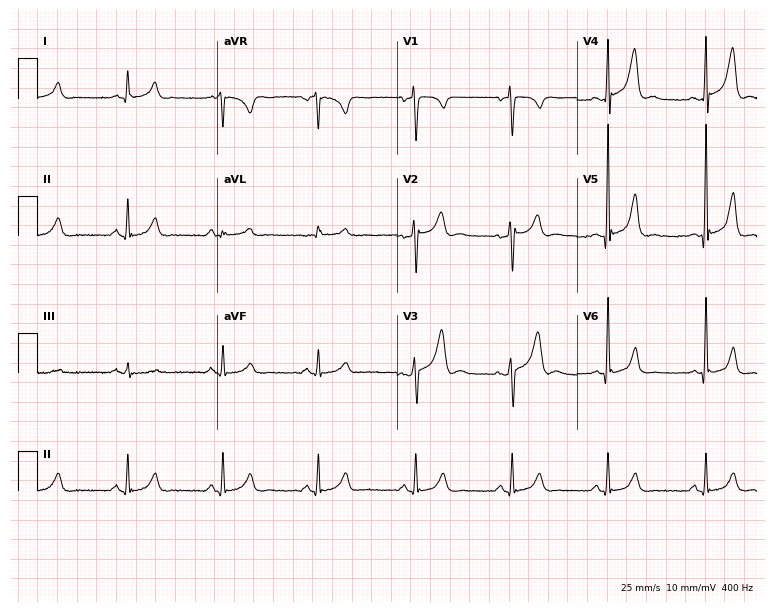
12-lead ECG (7.3-second recording at 400 Hz) from a male, 38 years old. Screened for six findings — first-degree AV block, right bundle branch block, left bundle branch block, sinus bradycardia, atrial fibrillation, sinus tachycardia — none is recorded.